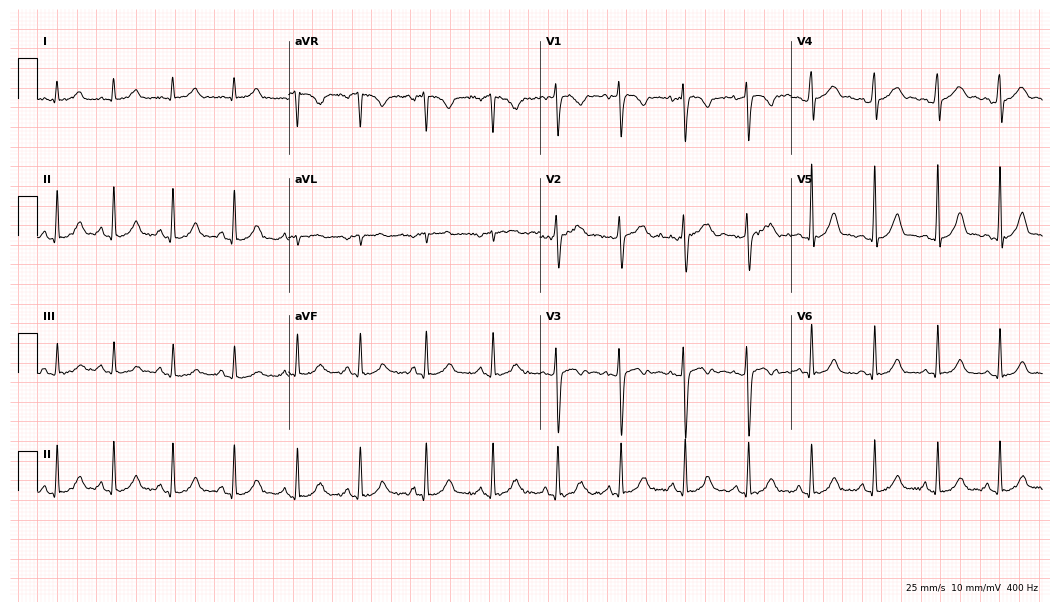
ECG — a 26-year-old female patient. Labelled as a normal ECG.